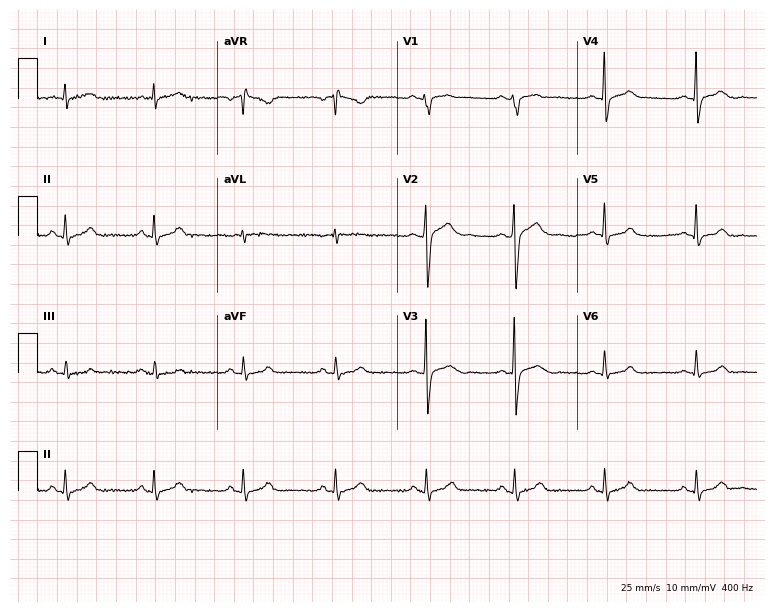
ECG (7.3-second recording at 400 Hz) — a 36-year-old man. Labelled as a normal ECG.